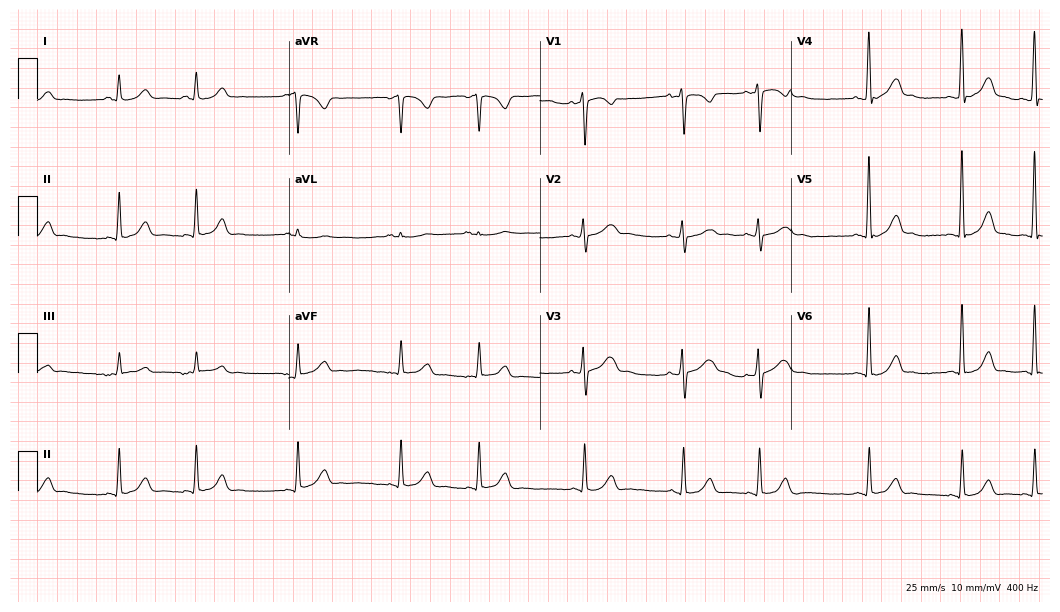
12-lead ECG from a female patient, 25 years old. Labelled as a normal ECG.